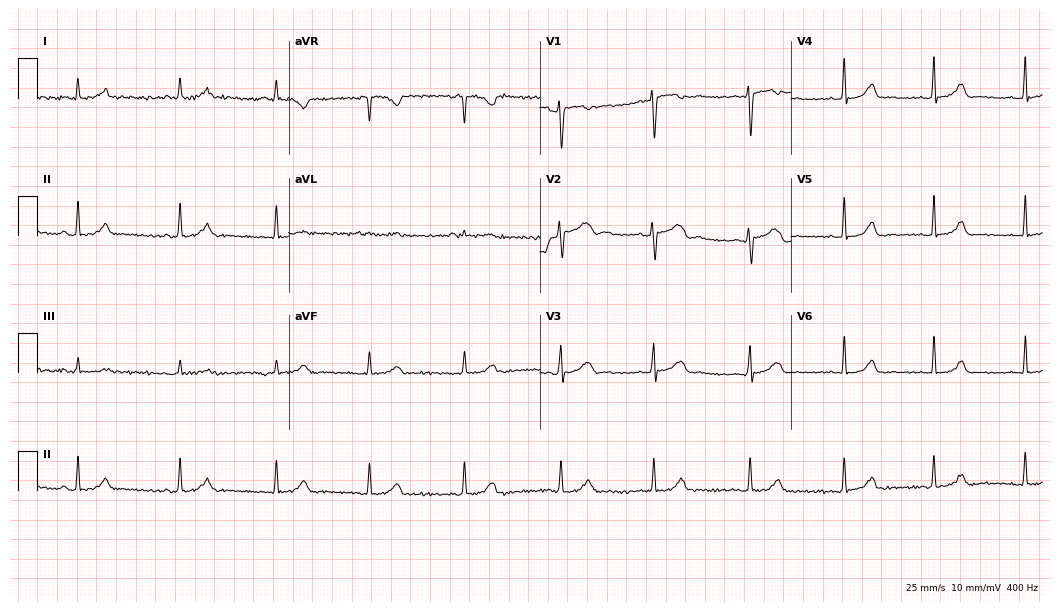
12-lead ECG from a 28-year-old female patient. No first-degree AV block, right bundle branch block (RBBB), left bundle branch block (LBBB), sinus bradycardia, atrial fibrillation (AF) or sinus tachycardia recorded for this tracing.